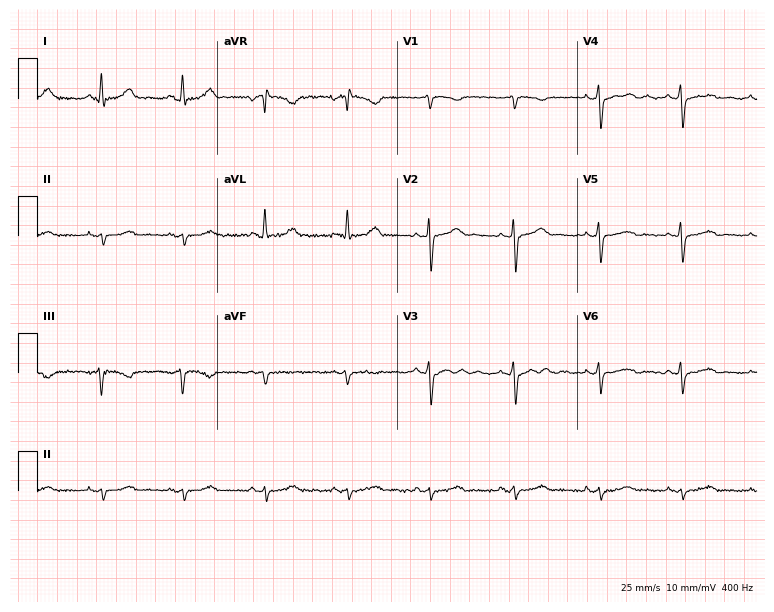
Electrocardiogram (7.3-second recording at 400 Hz), a female, 60 years old. Of the six screened findings (first-degree AV block, right bundle branch block, left bundle branch block, sinus bradycardia, atrial fibrillation, sinus tachycardia), none is recorded.